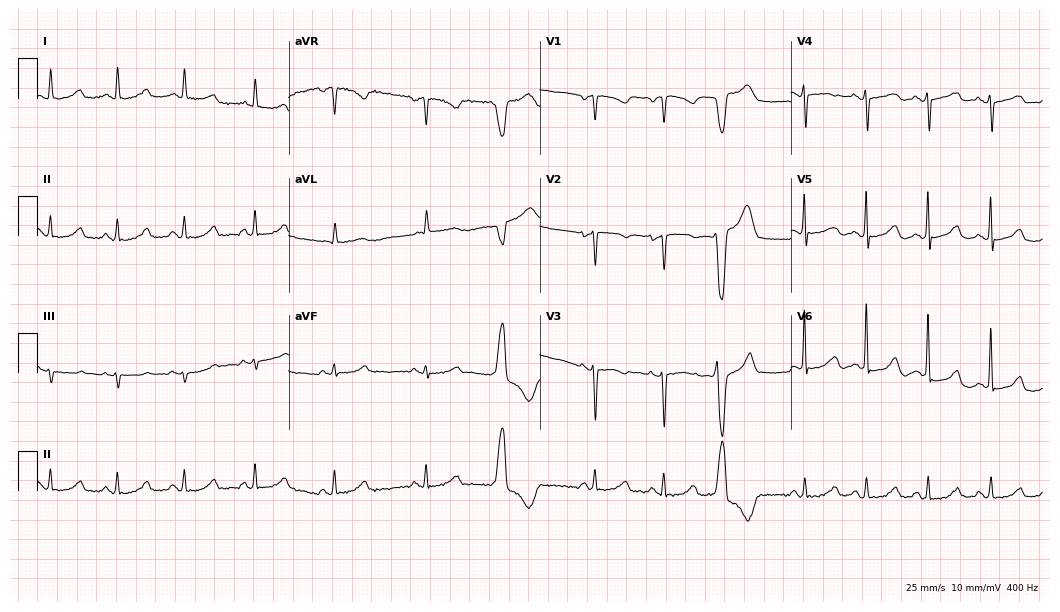
Resting 12-lead electrocardiogram (10.2-second recording at 400 Hz). Patient: a 68-year-old woman. None of these six findings is recorded: first-degree AV block, right bundle branch block, left bundle branch block, sinus bradycardia, atrial fibrillation, sinus tachycardia.